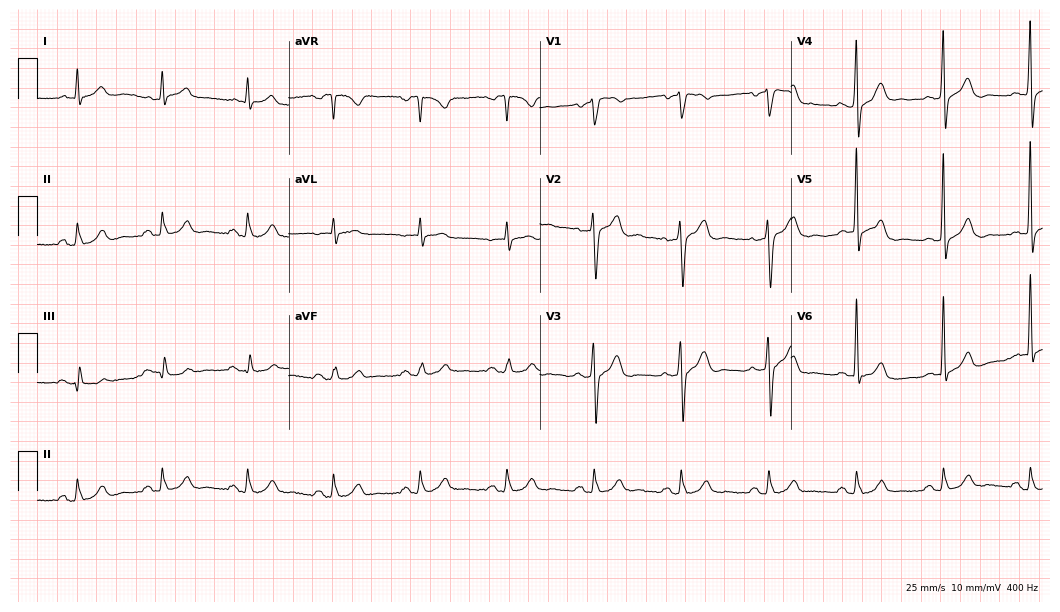
ECG — a man, 71 years old. Labelled as a normal ECG.